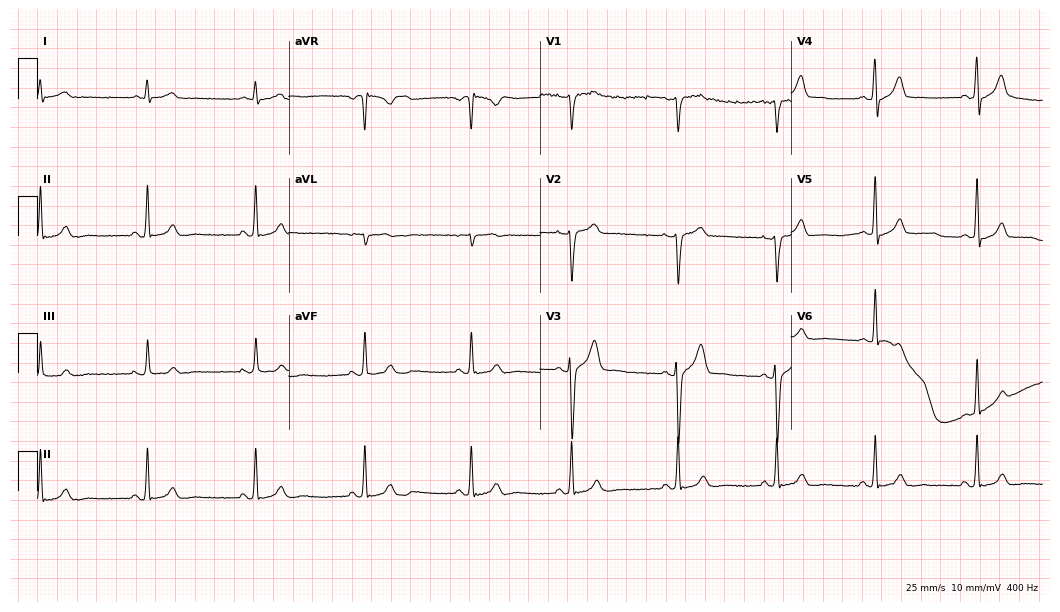
ECG (10.2-second recording at 400 Hz) — a 29-year-old male. Screened for six findings — first-degree AV block, right bundle branch block (RBBB), left bundle branch block (LBBB), sinus bradycardia, atrial fibrillation (AF), sinus tachycardia — none is recorded. Other findings, if any, are not listed.